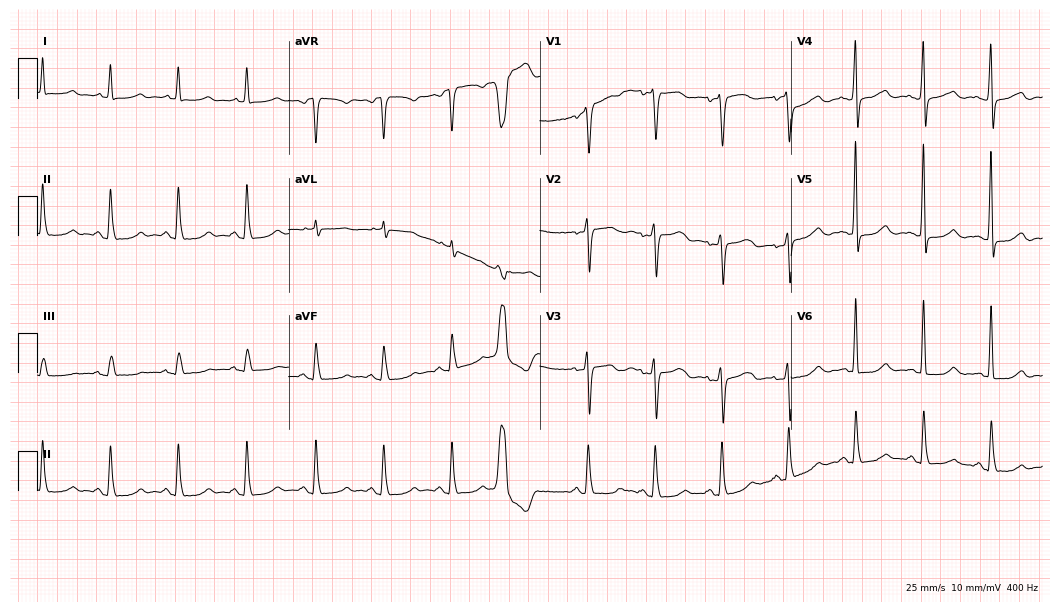
Resting 12-lead electrocardiogram. Patient: a woman, 68 years old. None of these six findings is recorded: first-degree AV block, right bundle branch block, left bundle branch block, sinus bradycardia, atrial fibrillation, sinus tachycardia. Only these six findings were labelled.